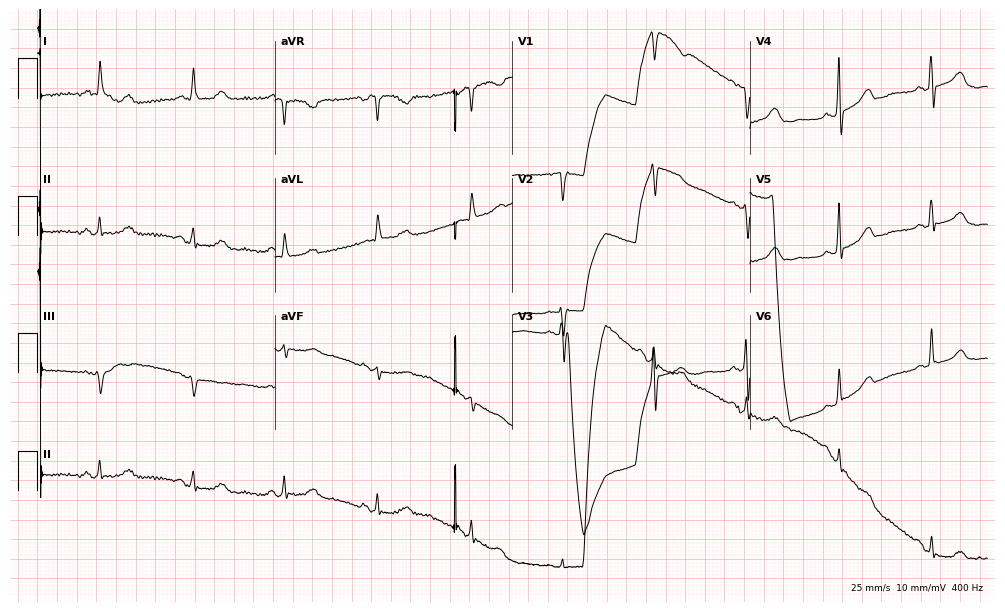
Resting 12-lead electrocardiogram (9.7-second recording at 400 Hz). Patient: a 71-year-old female. None of these six findings is recorded: first-degree AV block, right bundle branch block (RBBB), left bundle branch block (LBBB), sinus bradycardia, atrial fibrillation (AF), sinus tachycardia. Other findings, if any, are not listed.